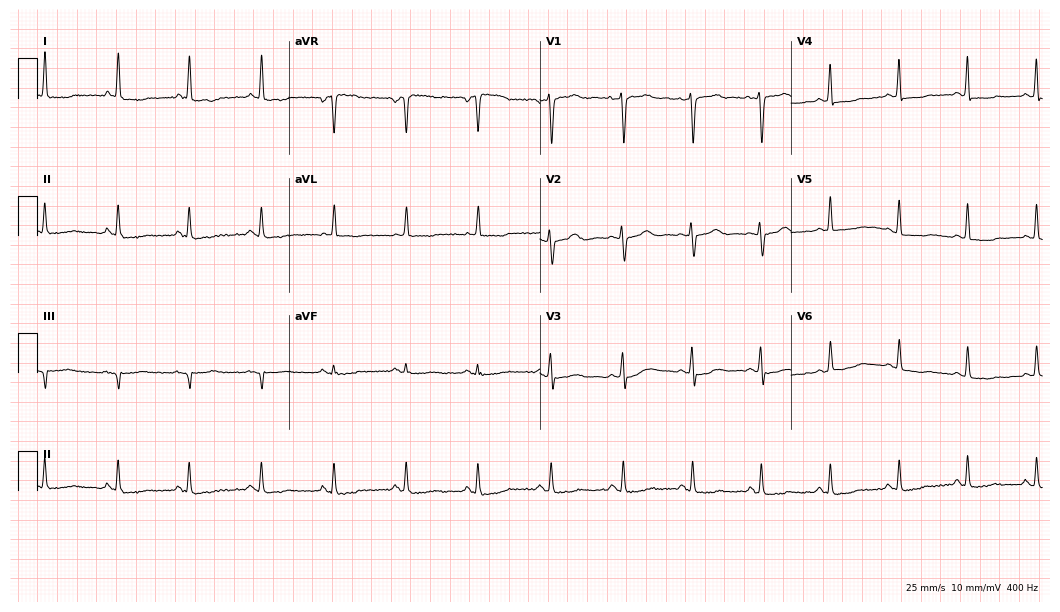
Standard 12-lead ECG recorded from a woman, 56 years old (10.2-second recording at 400 Hz). Read as a normal ECG.